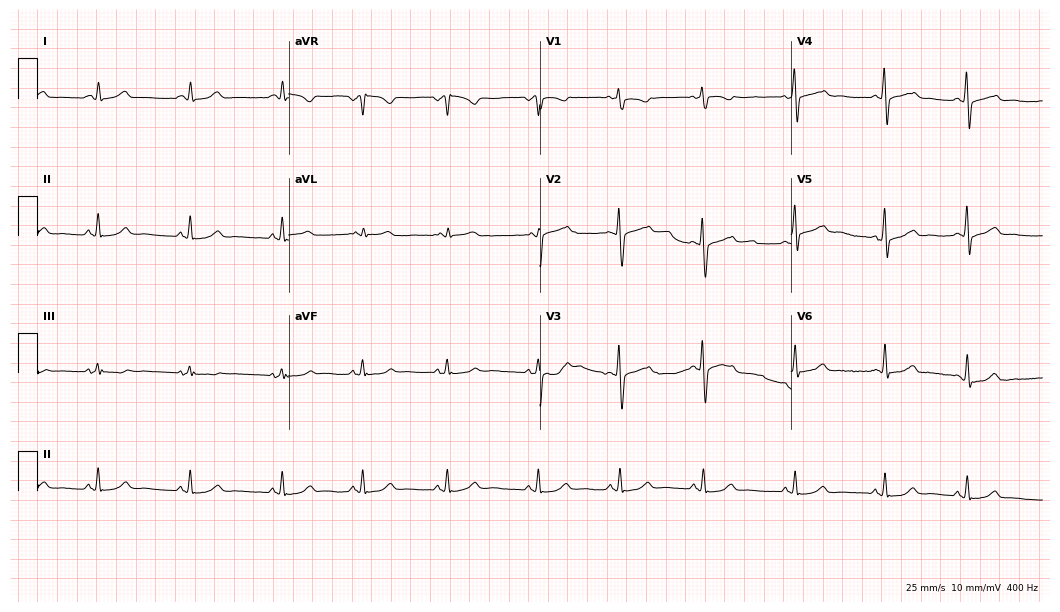
Resting 12-lead electrocardiogram. Patient: a 24-year-old female. Read as a normal ECG.